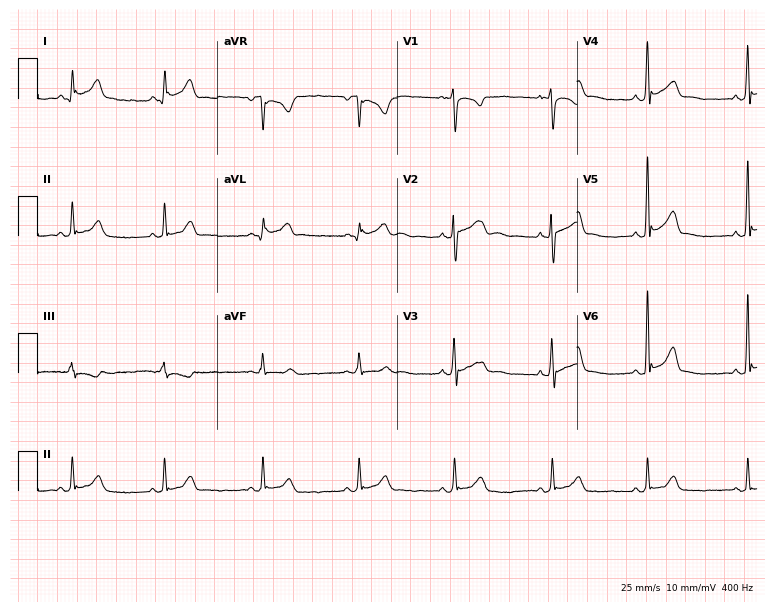
ECG — a man, 25 years old. Screened for six findings — first-degree AV block, right bundle branch block, left bundle branch block, sinus bradycardia, atrial fibrillation, sinus tachycardia — none is recorded.